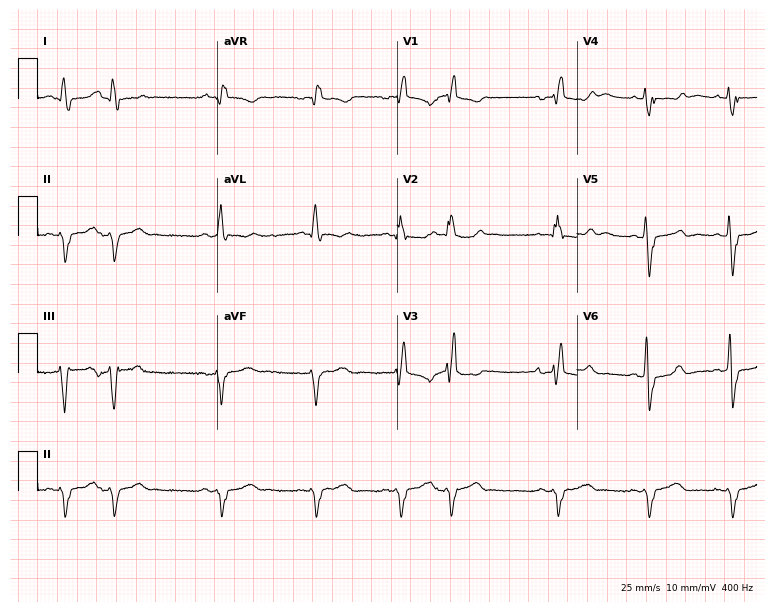
Standard 12-lead ECG recorded from a 75-year-old woman. The tracing shows right bundle branch block (RBBB).